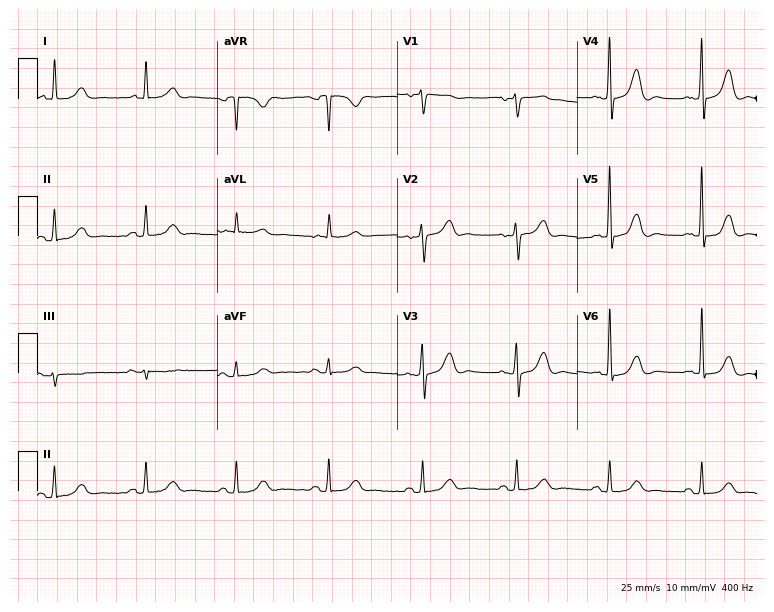
Resting 12-lead electrocardiogram (7.3-second recording at 400 Hz). Patient: an 81-year-old female. None of these six findings is recorded: first-degree AV block, right bundle branch block, left bundle branch block, sinus bradycardia, atrial fibrillation, sinus tachycardia.